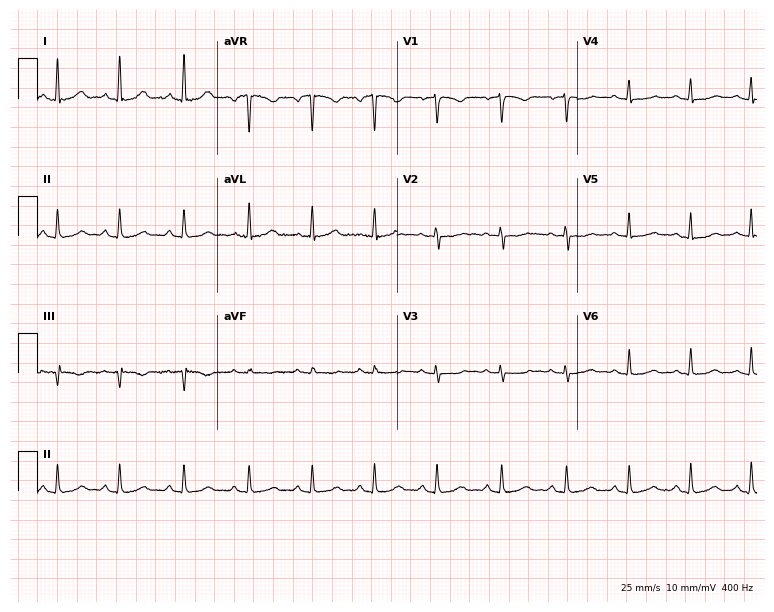
12-lead ECG from a female, 51 years old (7.3-second recording at 400 Hz). Recorded interpretation: within normal limits.